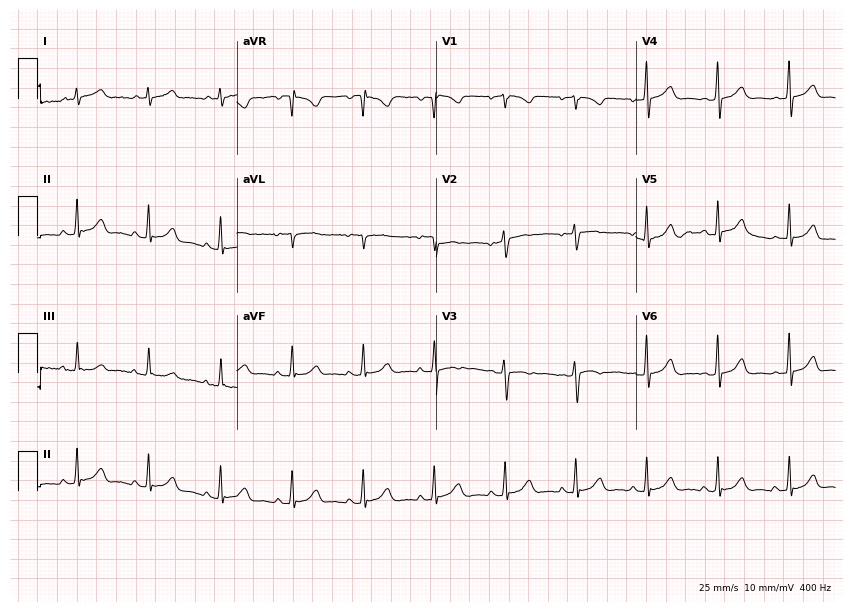
12-lead ECG from a 22-year-old woman. Recorded interpretation: within normal limits.